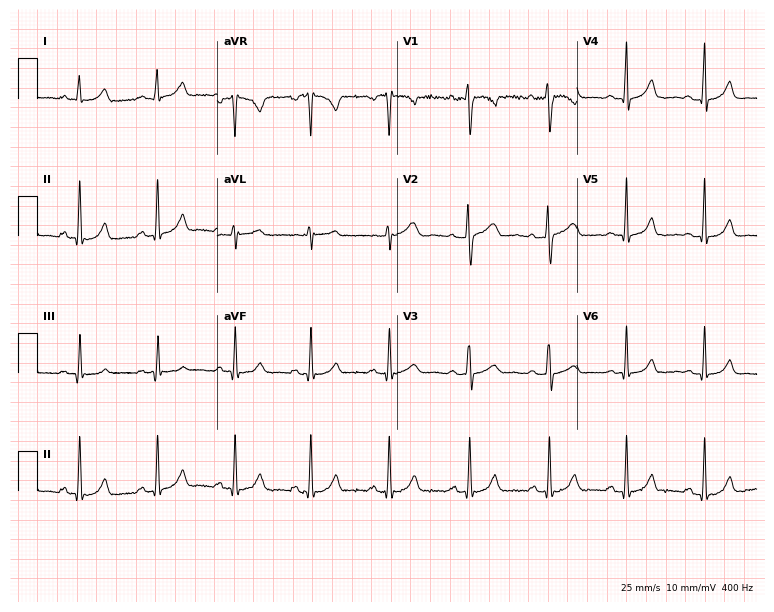
Electrocardiogram (7.3-second recording at 400 Hz), a 21-year-old female patient. Overall reading on record: normal ECG.